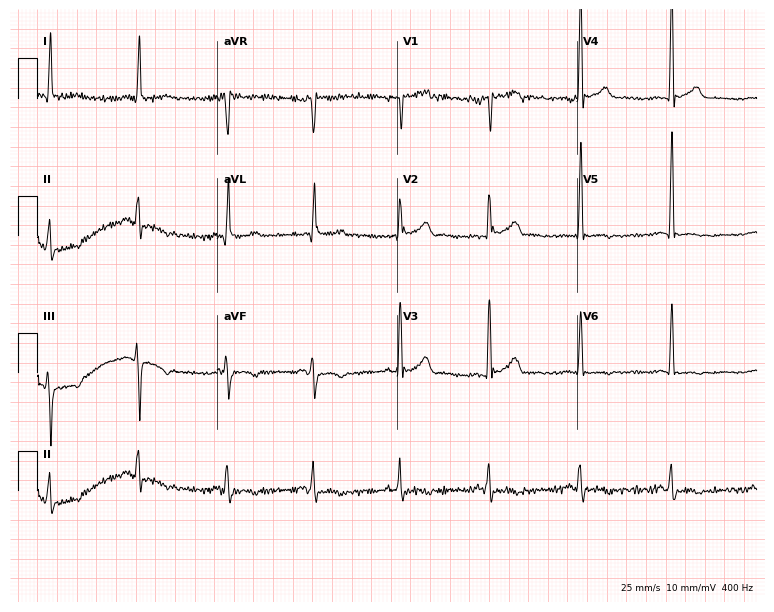
Electrocardiogram, a 71-year-old male. Of the six screened findings (first-degree AV block, right bundle branch block, left bundle branch block, sinus bradycardia, atrial fibrillation, sinus tachycardia), none is recorded. Findings outside these six are not listed.